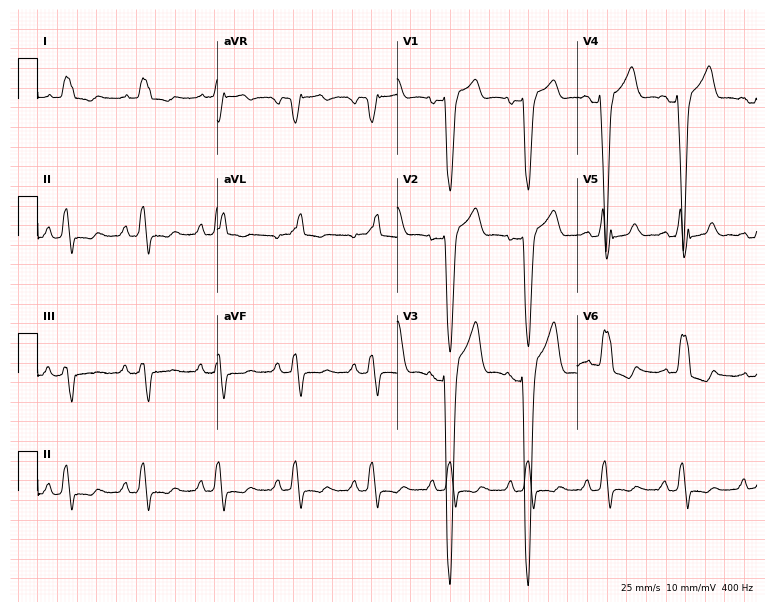
Standard 12-lead ECG recorded from a male patient, 67 years old (7.3-second recording at 400 Hz). The tracing shows left bundle branch block (LBBB).